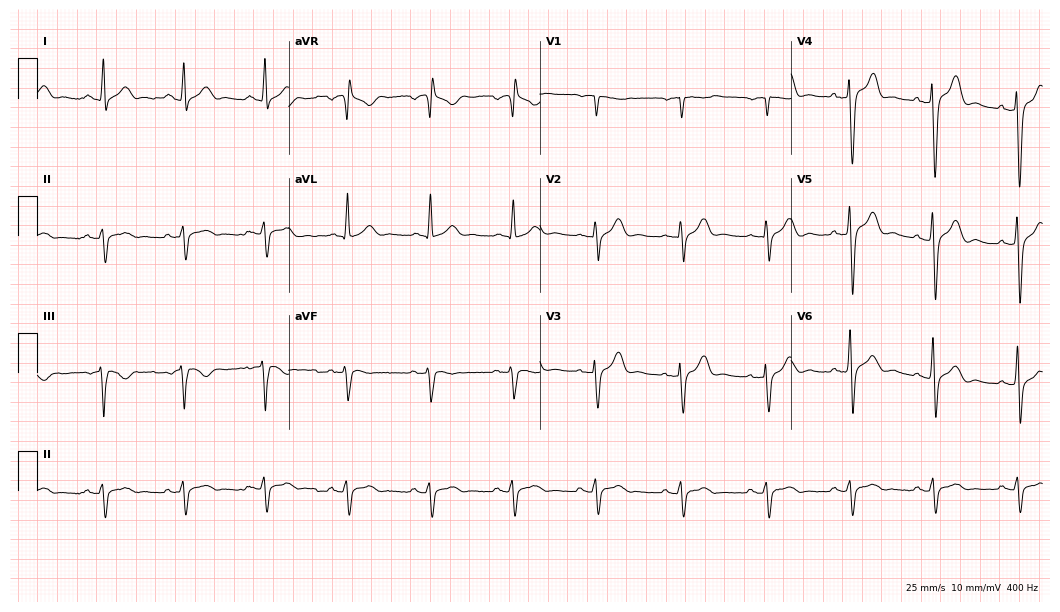
Standard 12-lead ECG recorded from a 52-year-old male (10.2-second recording at 400 Hz). None of these six findings is recorded: first-degree AV block, right bundle branch block, left bundle branch block, sinus bradycardia, atrial fibrillation, sinus tachycardia. Findings outside these six are not listed.